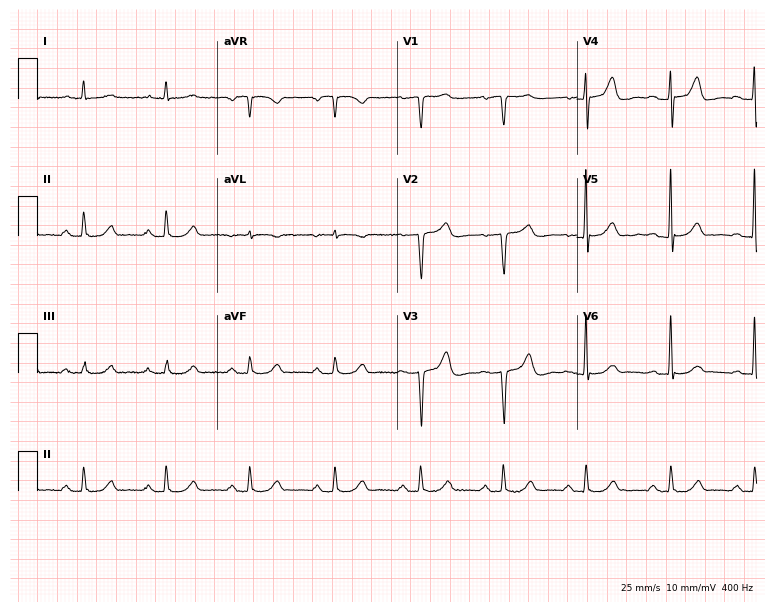
Resting 12-lead electrocardiogram (7.3-second recording at 400 Hz). Patient: a woman, 64 years old. None of these six findings is recorded: first-degree AV block, right bundle branch block, left bundle branch block, sinus bradycardia, atrial fibrillation, sinus tachycardia. Findings outside these six are not listed.